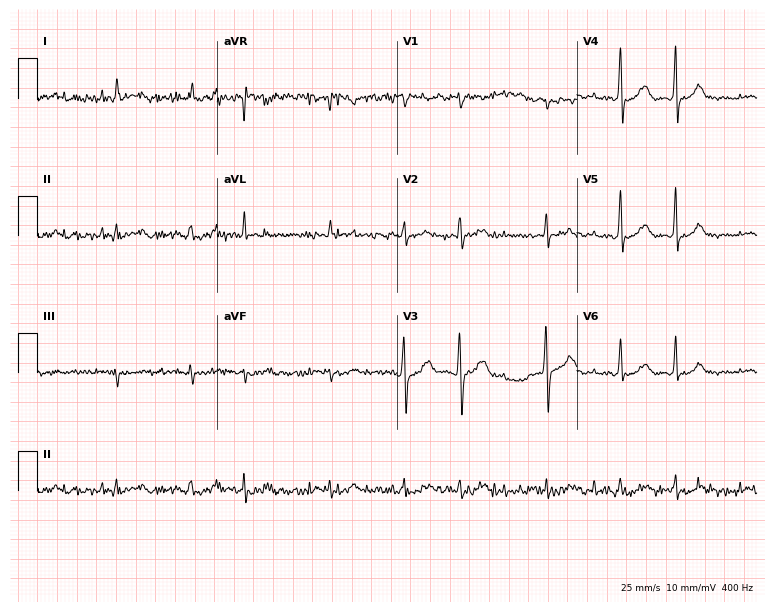
12-lead ECG from a male patient, 83 years old. No first-degree AV block, right bundle branch block (RBBB), left bundle branch block (LBBB), sinus bradycardia, atrial fibrillation (AF) or sinus tachycardia recorded for this tracing. Findings outside these six are not listed.